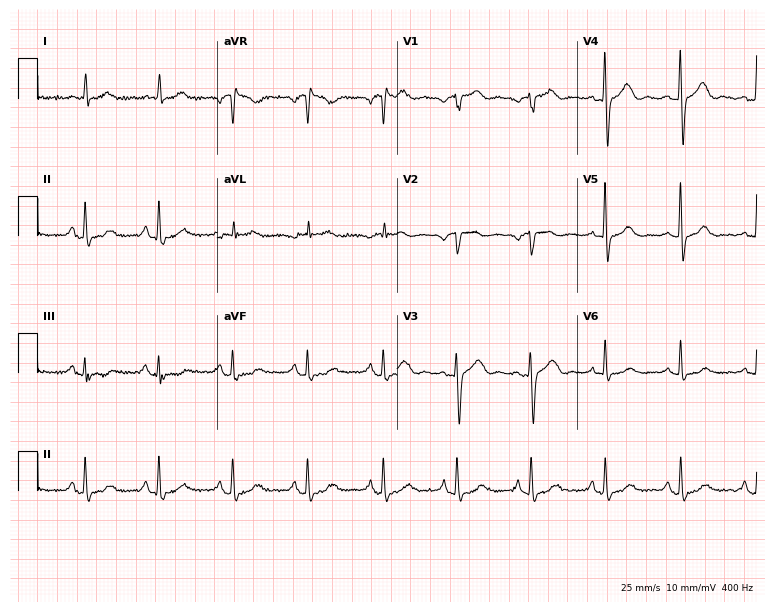
Resting 12-lead electrocardiogram (7.3-second recording at 400 Hz). Patient: a 62-year-old female. Read as a normal ECG.